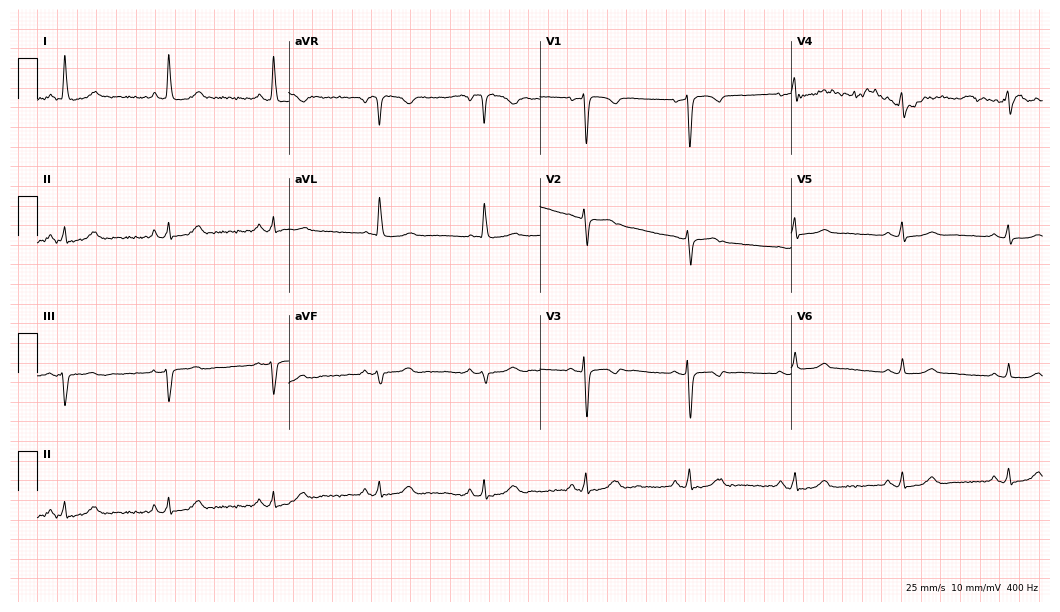
Electrocardiogram (10.2-second recording at 400 Hz), a 56-year-old woman. Of the six screened findings (first-degree AV block, right bundle branch block, left bundle branch block, sinus bradycardia, atrial fibrillation, sinus tachycardia), none is recorded.